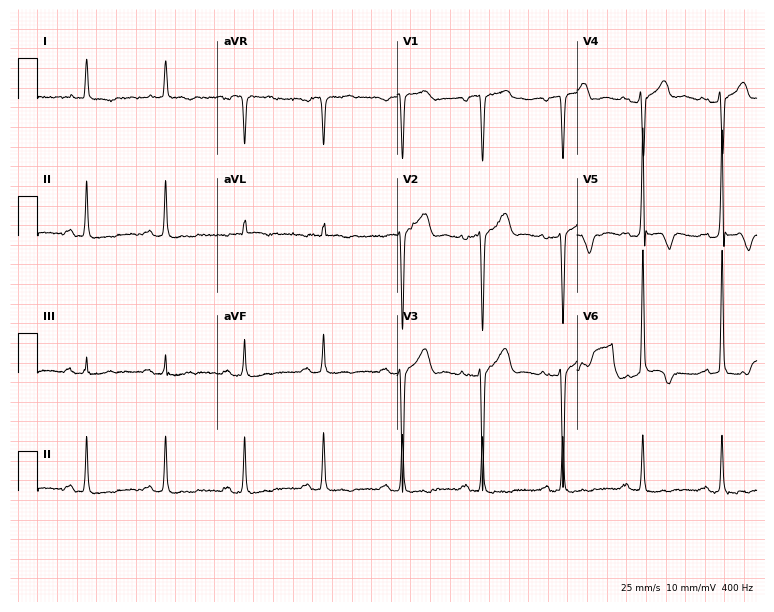
12-lead ECG from a man, 73 years old. No first-degree AV block, right bundle branch block (RBBB), left bundle branch block (LBBB), sinus bradycardia, atrial fibrillation (AF) or sinus tachycardia recorded for this tracing.